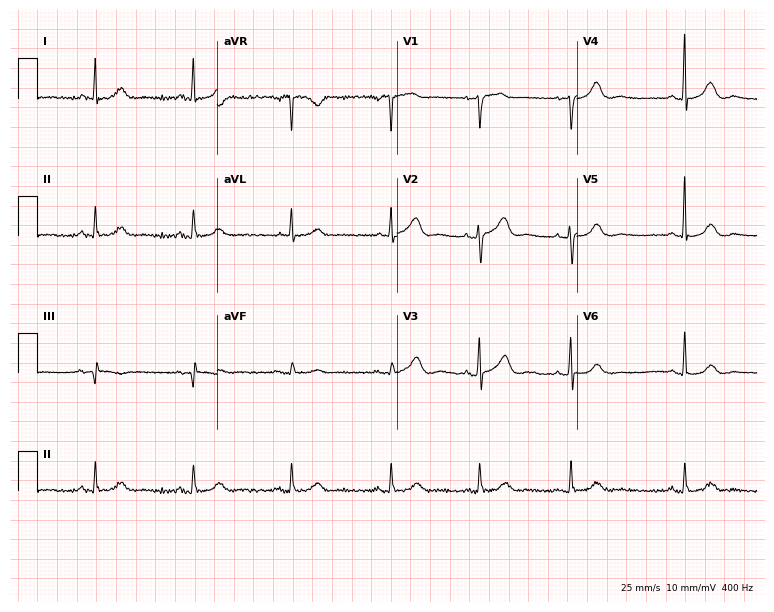
Electrocardiogram, a 74-year-old female. Of the six screened findings (first-degree AV block, right bundle branch block, left bundle branch block, sinus bradycardia, atrial fibrillation, sinus tachycardia), none is recorded. Other findings, if any, are not listed.